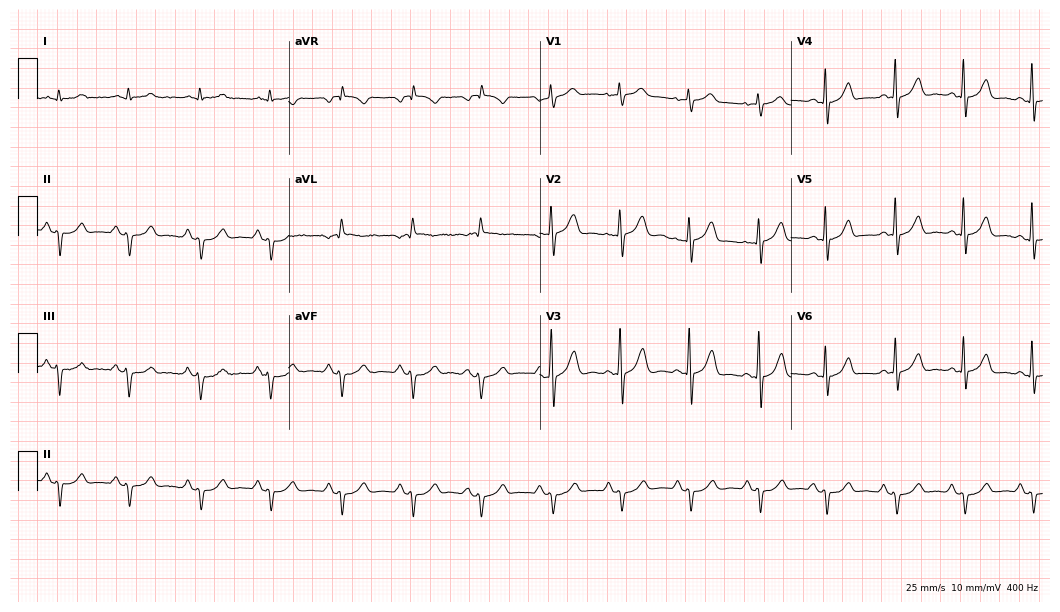
ECG — a male patient, 76 years old. Screened for six findings — first-degree AV block, right bundle branch block (RBBB), left bundle branch block (LBBB), sinus bradycardia, atrial fibrillation (AF), sinus tachycardia — none is recorded.